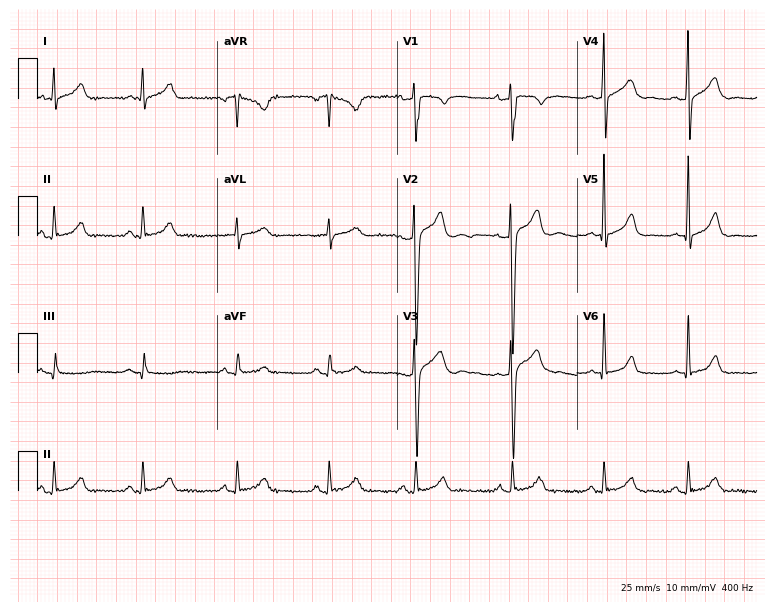
Standard 12-lead ECG recorded from a male patient, 33 years old. Read as a normal ECG.